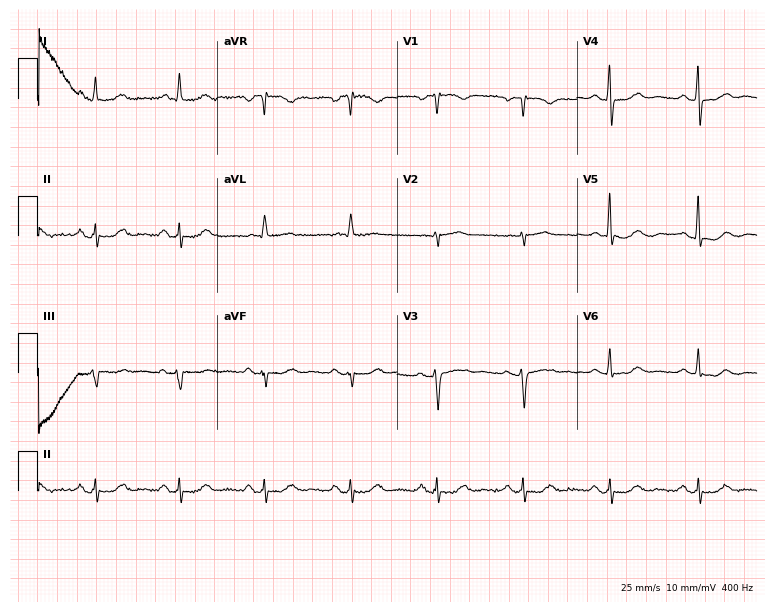
12-lead ECG from a 66-year-old female patient. Screened for six findings — first-degree AV block, right bundle branch block, left bundle branch block, sinus bradycardia, atrial fibrillation, sinus tachycardia — none is recorded. Other findings, if any, are not listed.